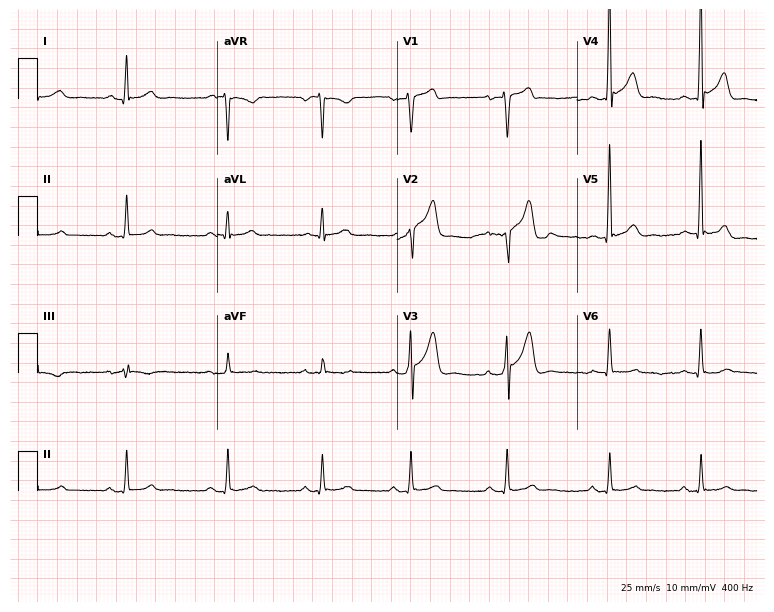
Resting 12-lead electrocardiogram. Patient: a 43-year-old male. Read as a normal ECG.